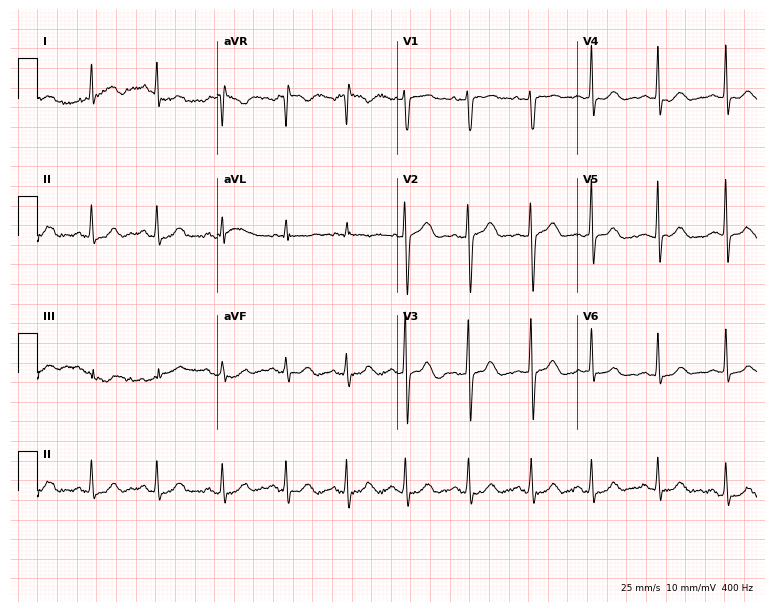
Standard 12-lead ECG recorded from a 23-year-old female (7.3-second recording at 400 Hz). Read as a normal ECG.